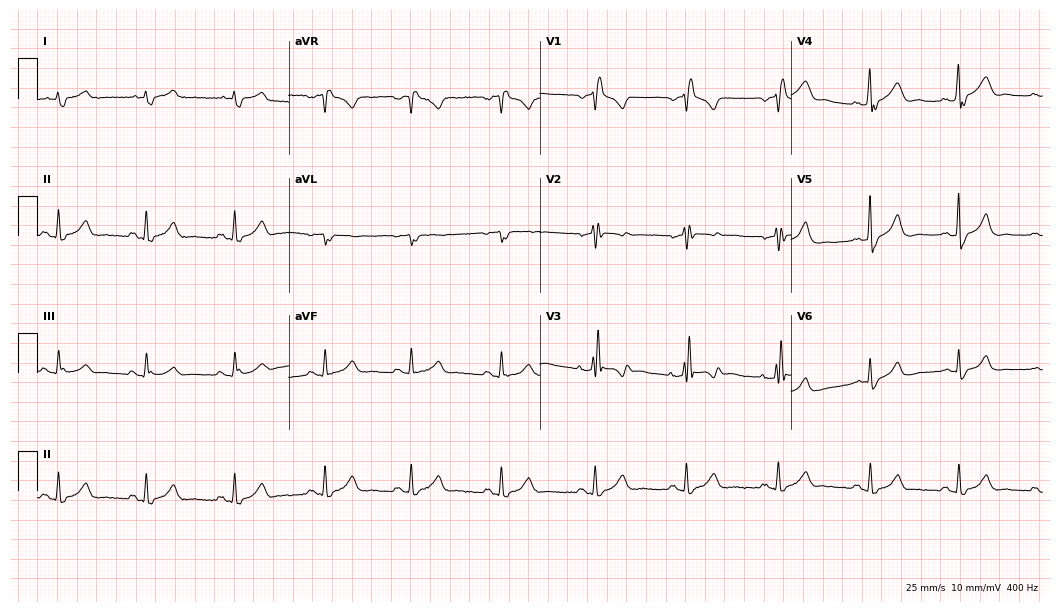
12-lead ECG (10.2-second recording at 400 Hz) from a male, 56 years old. Findings include right bundle branch block (RBBB).